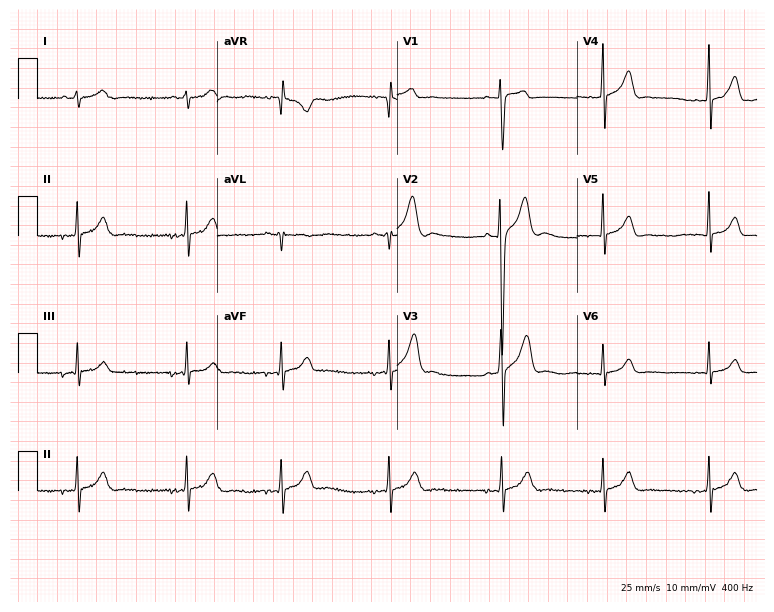
Electrocardiogram, a male patient, 18 years old. Overall reading on record: normal ECG.